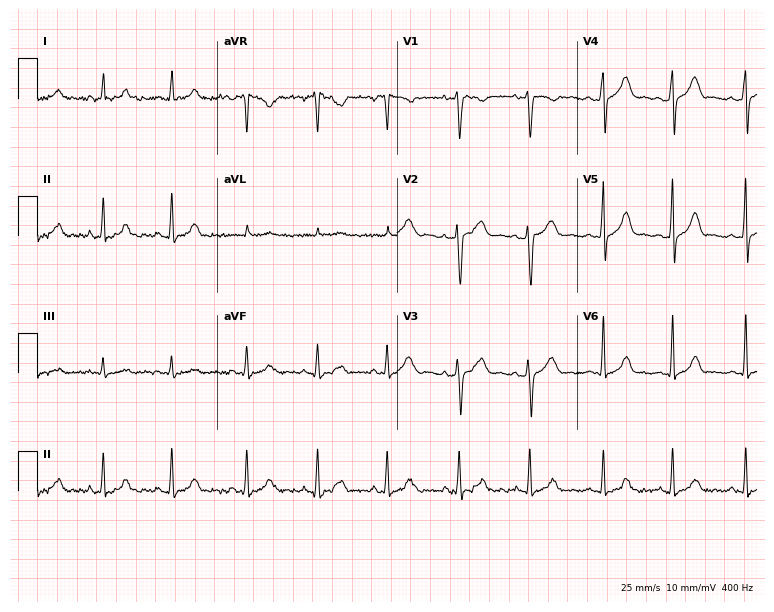
12-lead ECG from a female, 27 years old (7.3-second recording at 400 Hz). Recorded interpretation: within normal limits.